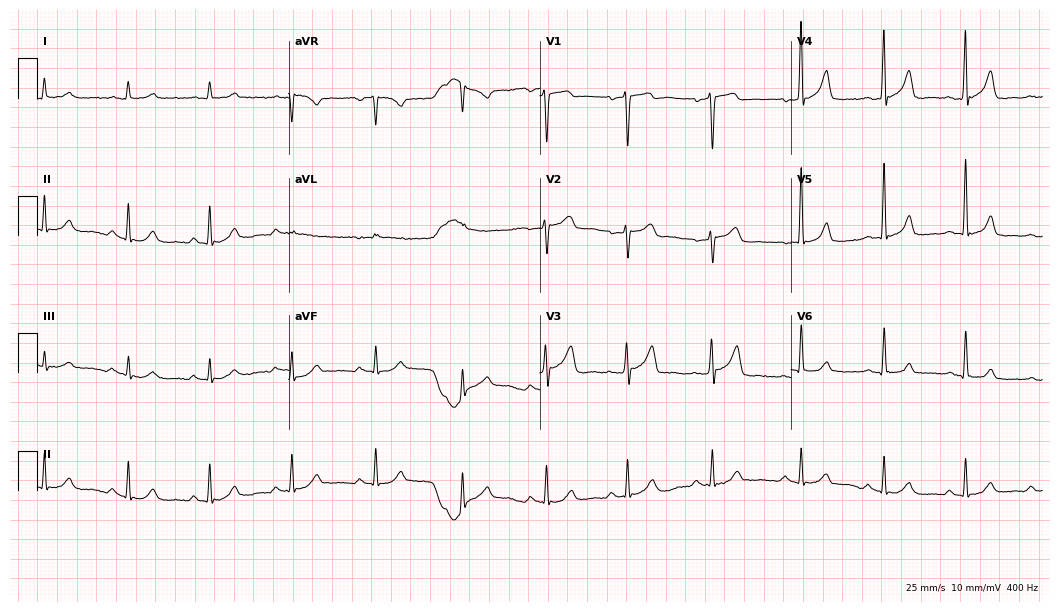
ECG (10.2-second recording at 400 Hz) — a 60-year-old male patient. Labelled as a normal ECG.